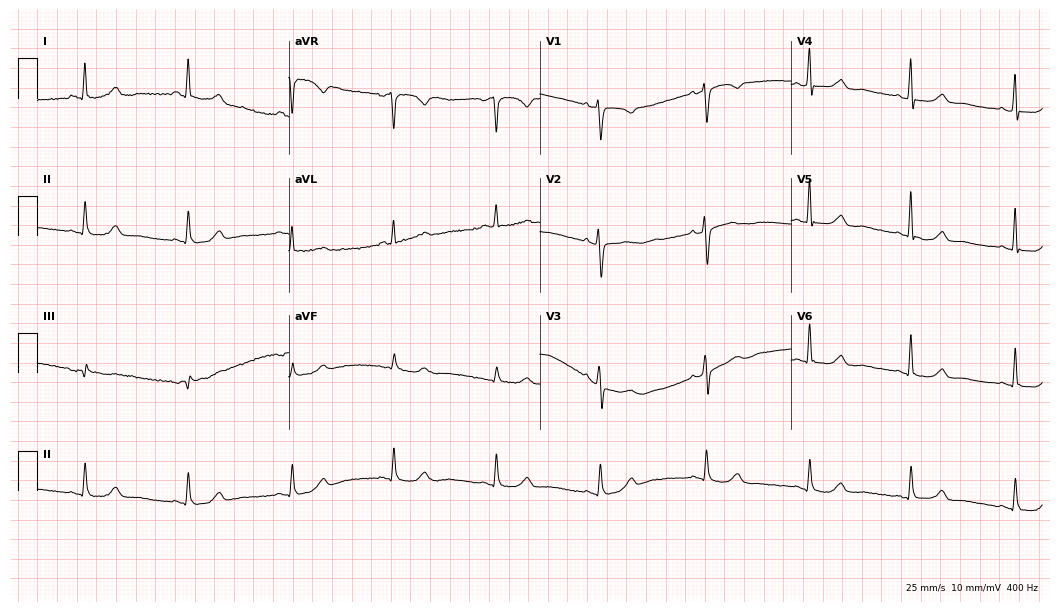
ECG (10.2-second recording at 400 Hz) — a woman, 50 years old. Labelled as a normal ECG.